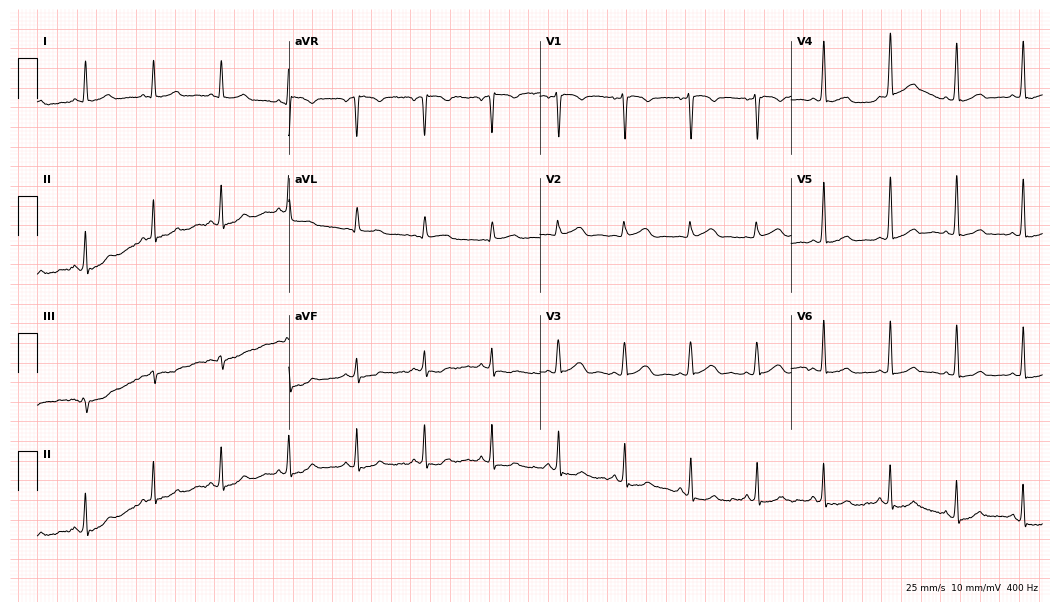
12-lead ECG from a woman, 40 years old (10.2-second recording at 400 Hz). No first-degree AV block, right bundle branch block (RBBB), left bundle branch block (LBBB), sinus bradycardia, atrial fibrillation (AF) or sinus tachycardia recorded for this tracing.